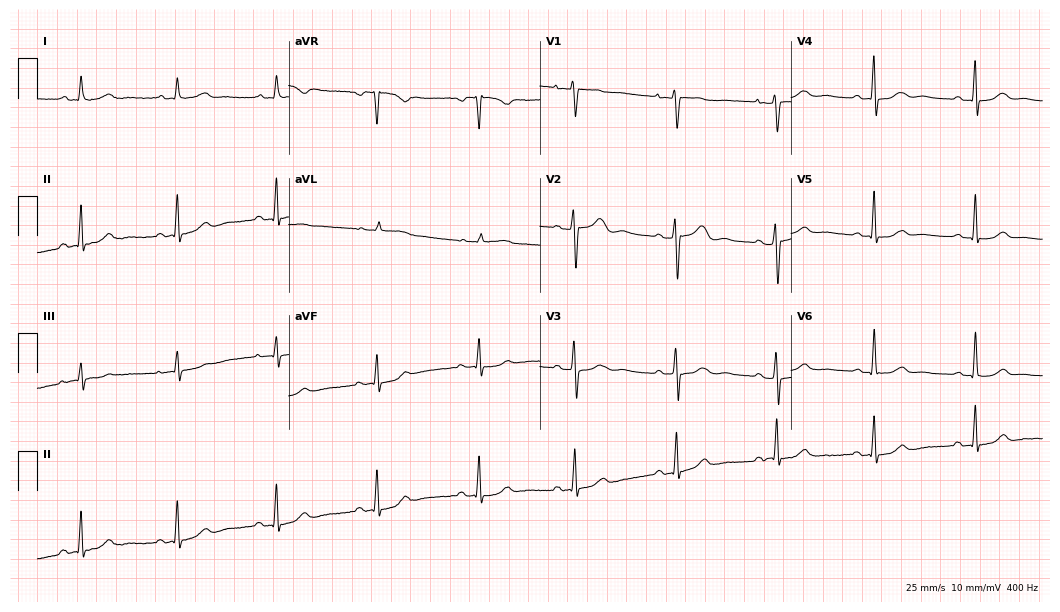
Resting 12-lead electrocardiogram. Patient: a 55-year-old female. None of these six findings is recorded: first-degree AV block, right bundle branch block, left bundle branch block, sinus bradycardia, atrial fibrillation, sinus tachycardia. Other findings, if any, are not listed.